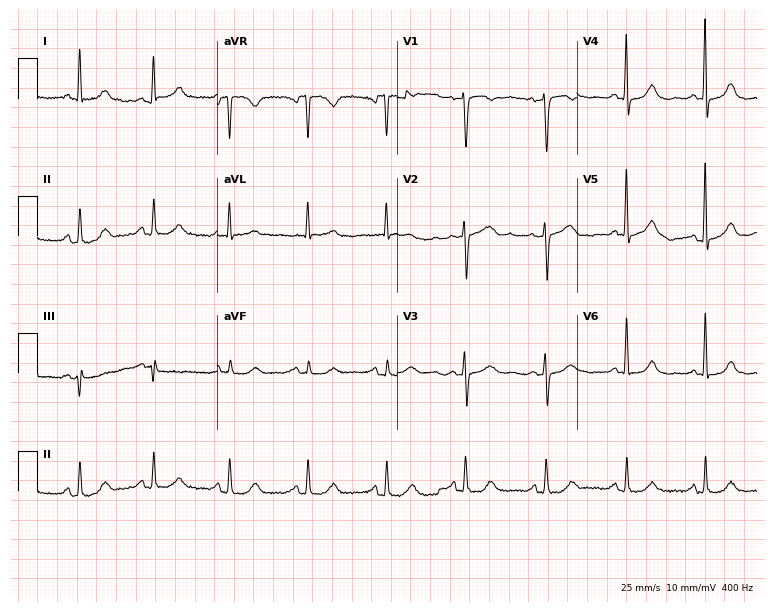
12-lead ECG from a woman, 70 years old. Labelled as a normal ECG.